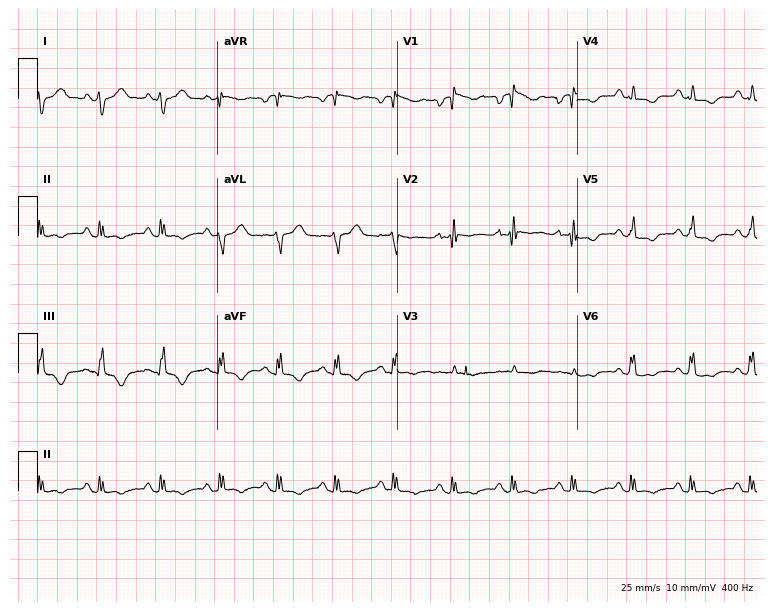
12-lead ECG from a 26-year-old female (7.3-second recording at 400 Hz). No first-degree AV block, right bundle branch block, left bundle branch block, sinus bradycardia, atrial fibrillation or sinus tachycardia recorded for this tracing. Findings outside these six are not listed.